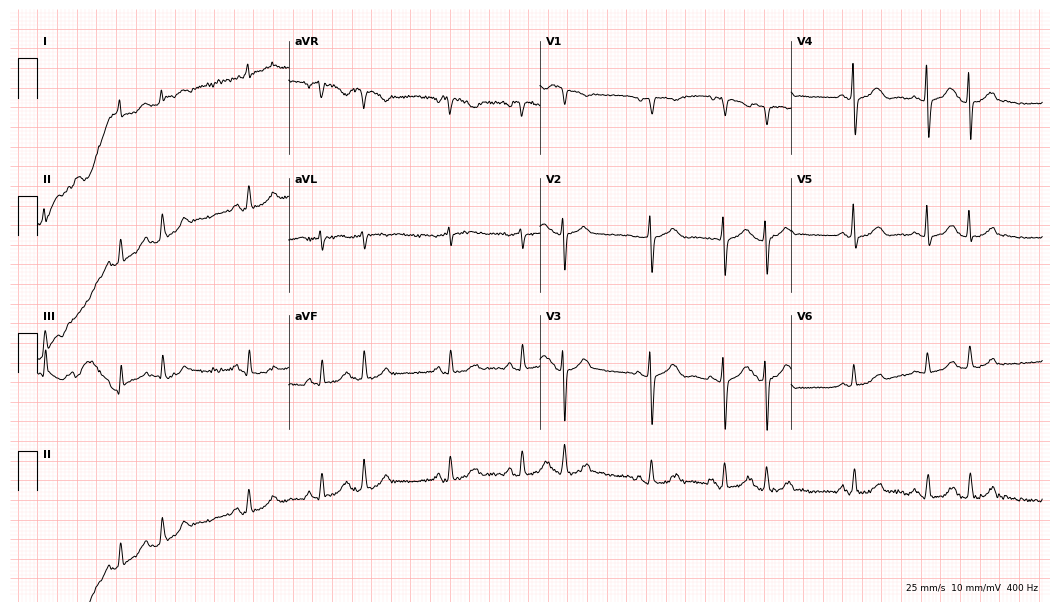
Standard 12-lead ECG recorded from a female patient, 76 years old (10.2-second recording at 400 Hz). None of these six findings is recorded: first-degree AV block, right bundle branch block, left bundle branch block, sinus bradycardia, atrial fibrillation, sinus tachycardia. Only these six findings were labelled.